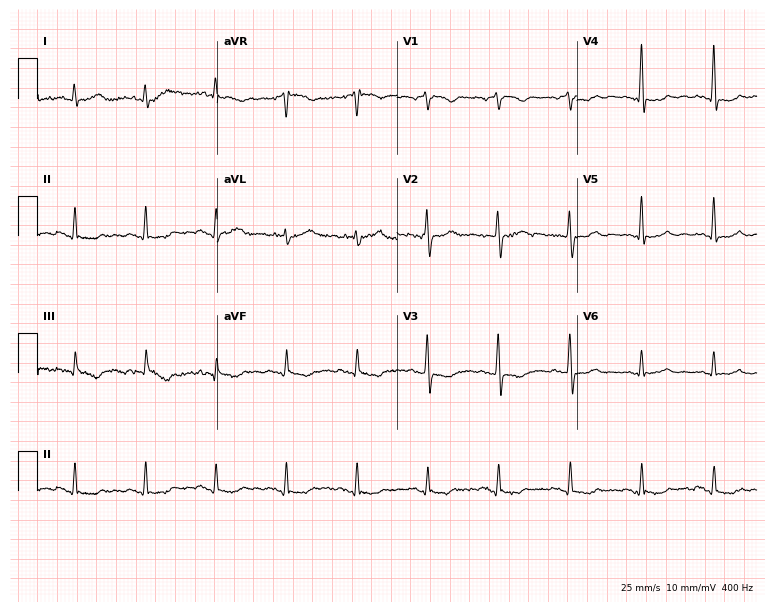
ECG — an 83-year-old female patient. Screened for six findings — first-degree AV block, right bundle branch block, left bundle branch block, sinus bradycardia, atrial fibrillation, sinus tachycardia — none is recorded. Only these six findings were labelled.